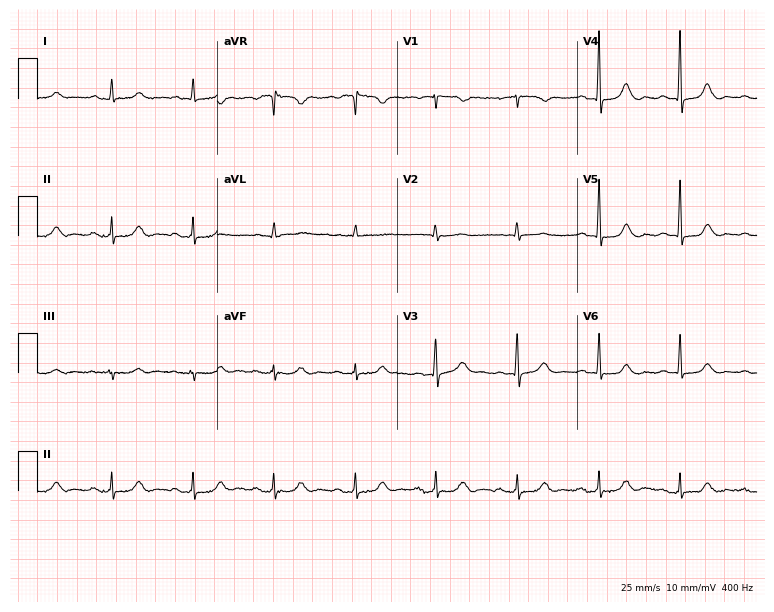
Resting 12-lead electrocardiogram. Patient: an 80-year-old woman. Read as a normal ECG.